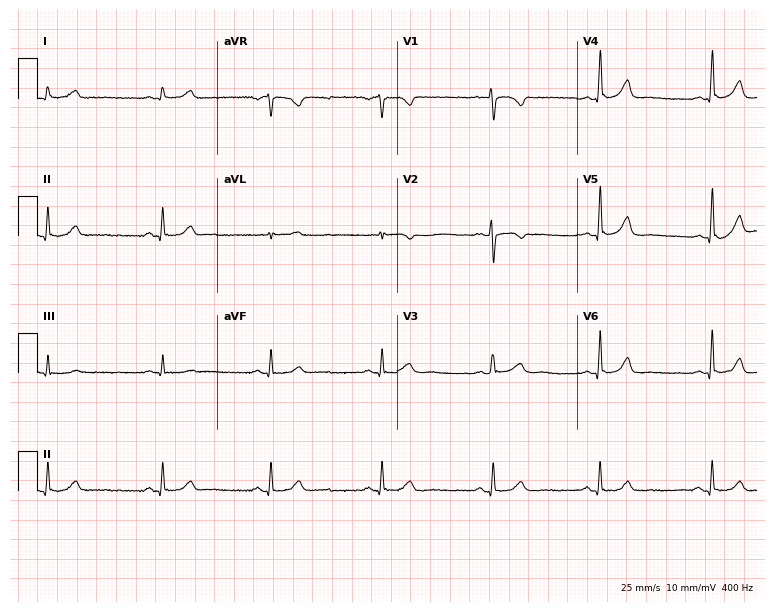
12-lead ECG from a 37-year-old woman (7.3-second recording at 400 Hz). Recorded interpretation: within normal limits.